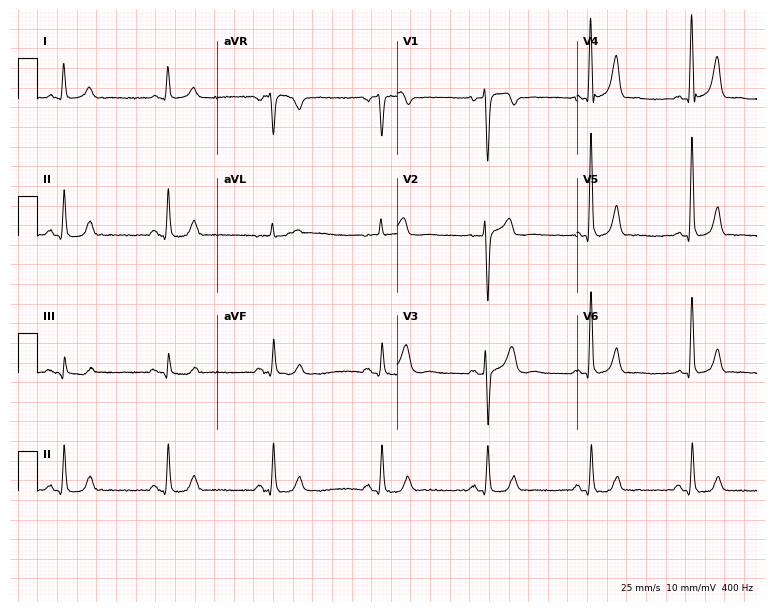
Standard 12-lead ECG recorded from a 57-year-old male patient. None of these six findings is recorded: first-degree AV block, right bundle branch block, left bundle branch block, sinus bradycardia, atrial fibrillation, sinus tachycardia. Only these six findings were labelled.